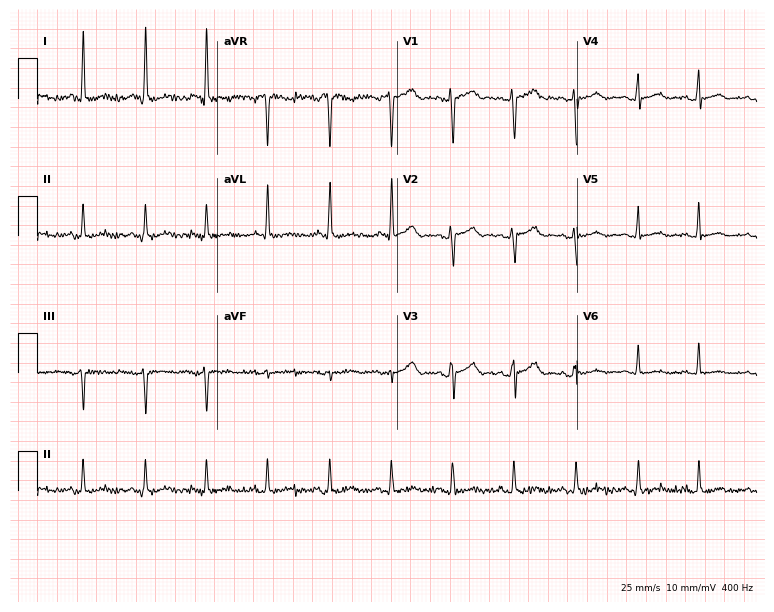
ECG — a 42-year-old woman. Screened for six findings — first-degree AV block, right bundle branch block (RBBB), left bundle branch block (LBBB), sinus bradycardia, atrial fibrillation (AF), sinus tachycardia — none is recorded.